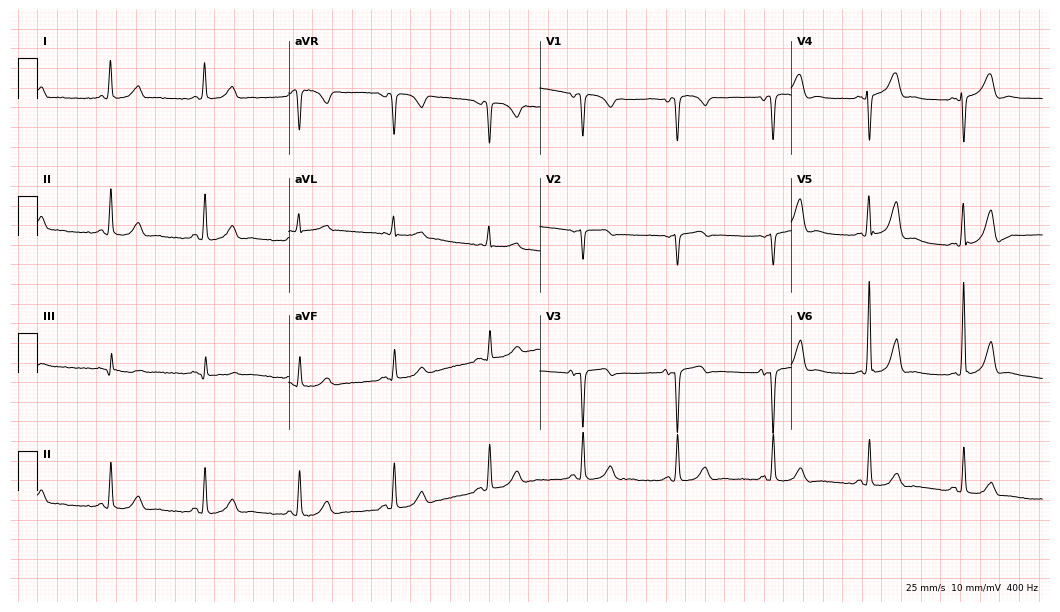
12-lead ECG from an 82-year-old female. Labelled as a normal ECG.